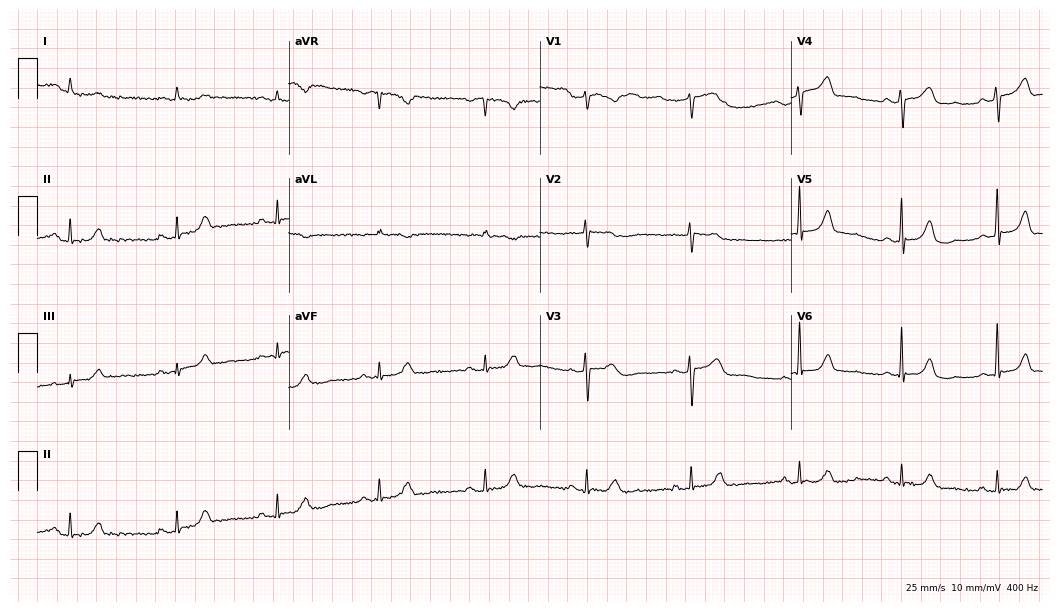
12-lead ECG from a woman, 72 years old (10.2-second recording at 400 Hz). Recorded interpretation: within normal limits.